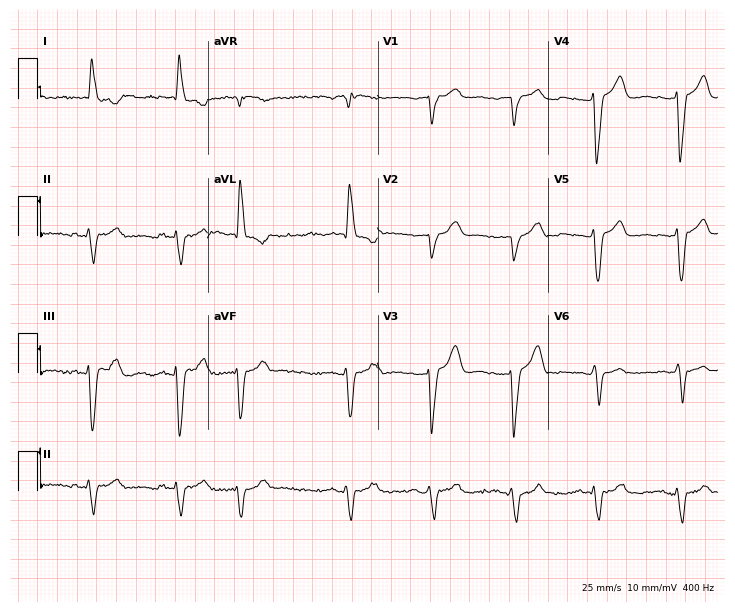
ECG (6.9-second recording at 400 Hz) — an 82-year-old woman. Findings include left bundle branch block.